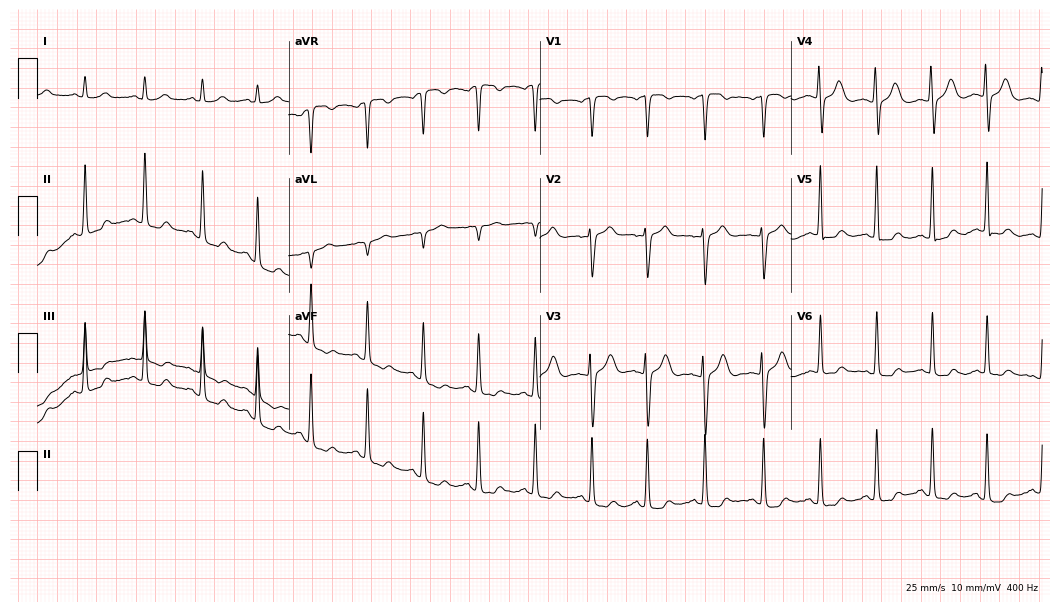
Resting 12-lead electrocardiogram. Patient: a 21-year-old woman. The tracing shows sinus tachycardia (a sinus rate of 100 beats per minute or more).